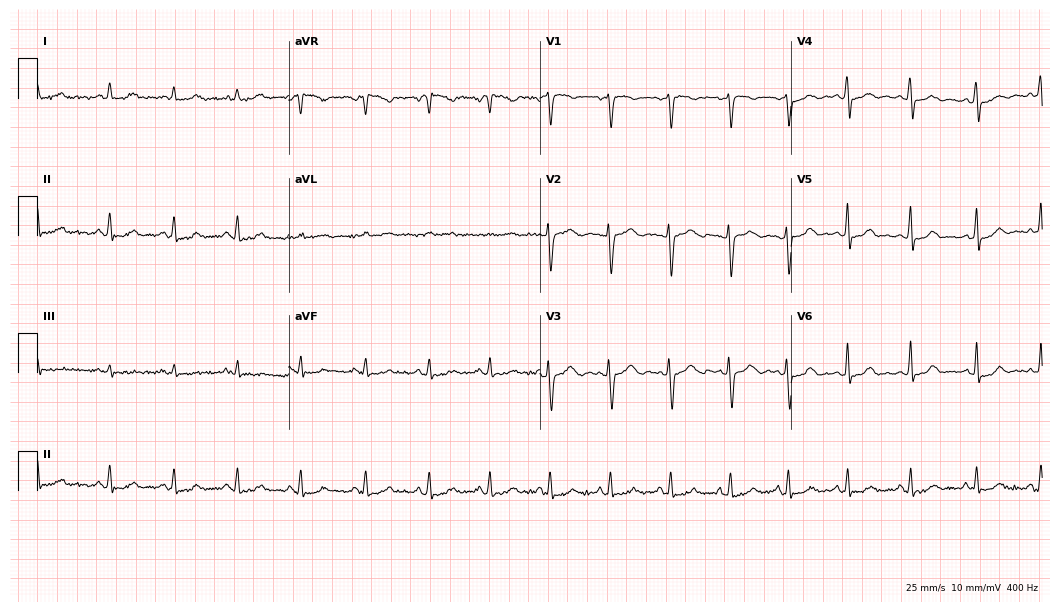
12-lead ECG from a 24-year-old female. No first-degree AV block, right bundle branch block (RBBB), left bundle branch block (LBBB), sinus bradycardia, atrial fibrillation (AF) or sinus tachycardia recorded for this tracing. Findings outside these six are not listed.